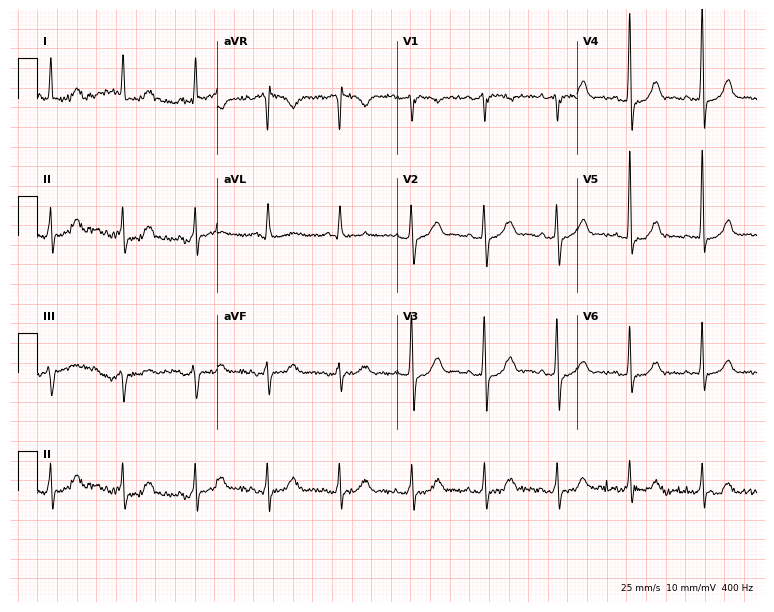
Resting 12-lead electrocardiogram. Patient: a male, 73 years old. Read as a normal ECG.